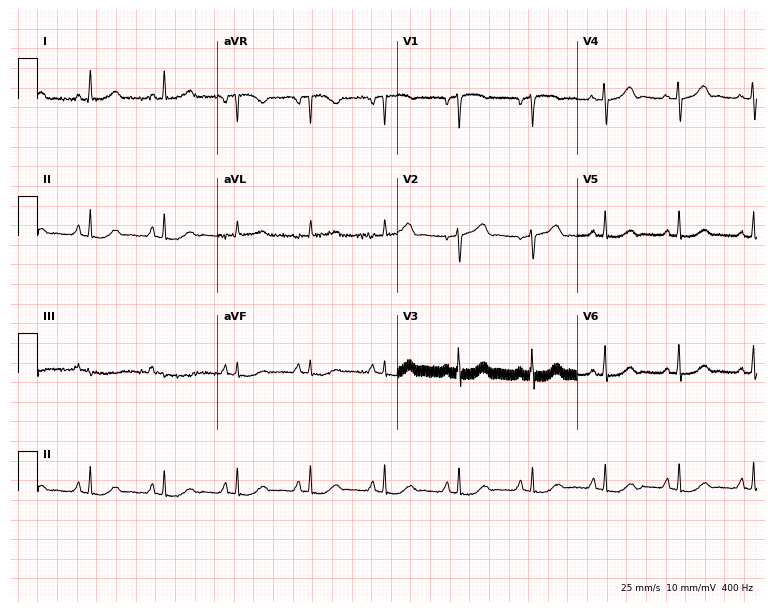
Standard 12-lead ECG recorded from a female, 58 years old. Read as a normal ECG.